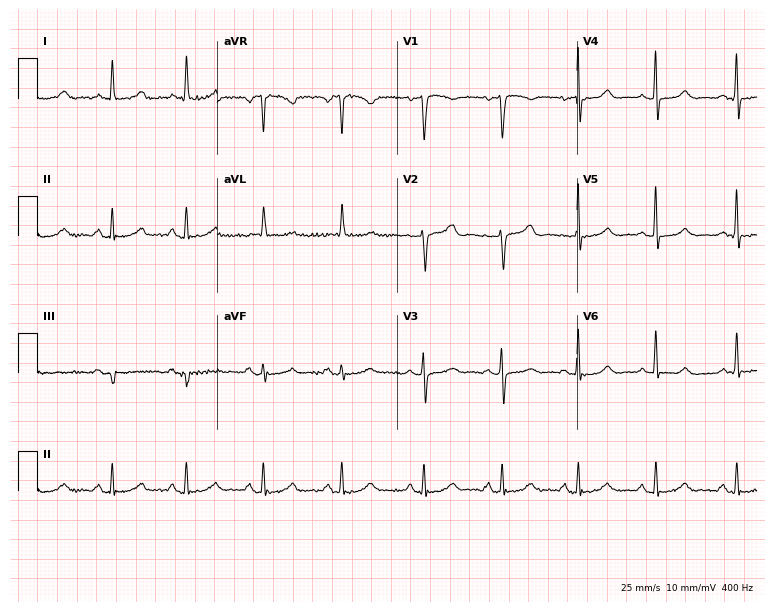
ECG — a female patient, 62 years old. Screened for six findings — first-degree AV block, right bundle branch block (RBBB), left bundle branch block (LBBB), sinus bradycardia, atrial fibrillation (AF), sinus tachycardia — none is recorded.